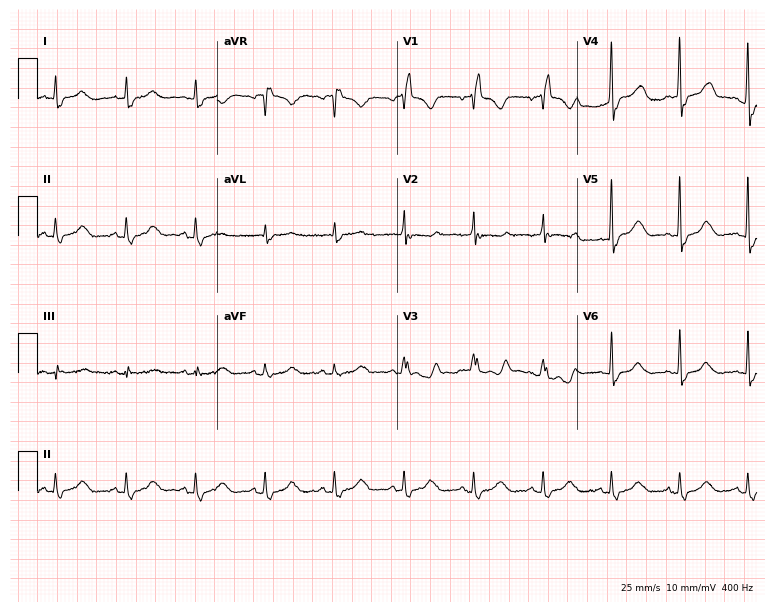
ECG — a 70-year-old man. Screened for six findings — first-degree AV block, right bundle branch block, left bundle branch block, sinus bradycardia, atrial fibrillation, sinus tachycardia — none is recorded.